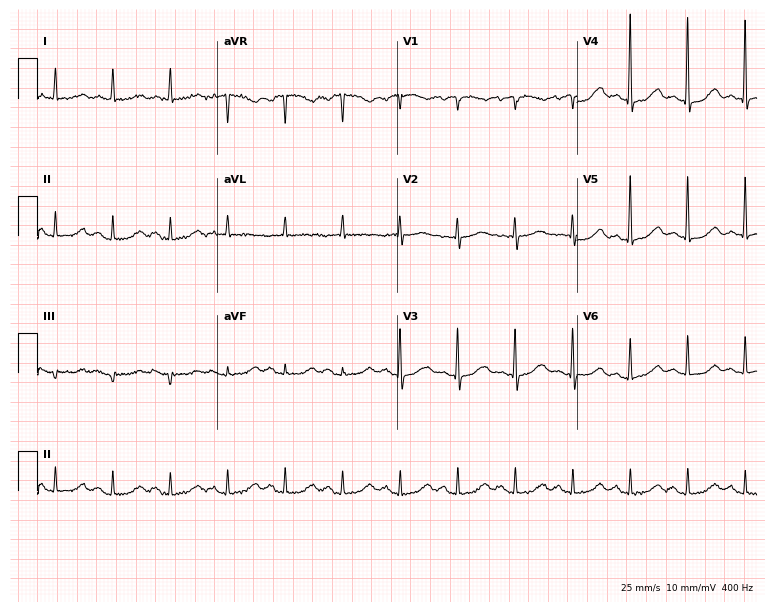
Electrocardiogram (7.3-second recording at 400 Hz), a 76-year-old female. Of the six screened findings (first-degree AV block, right bundle branch block, left bundle branch block, sinus bradycardia, atrial fibrillation, sinus tachycardia), none is recorded.